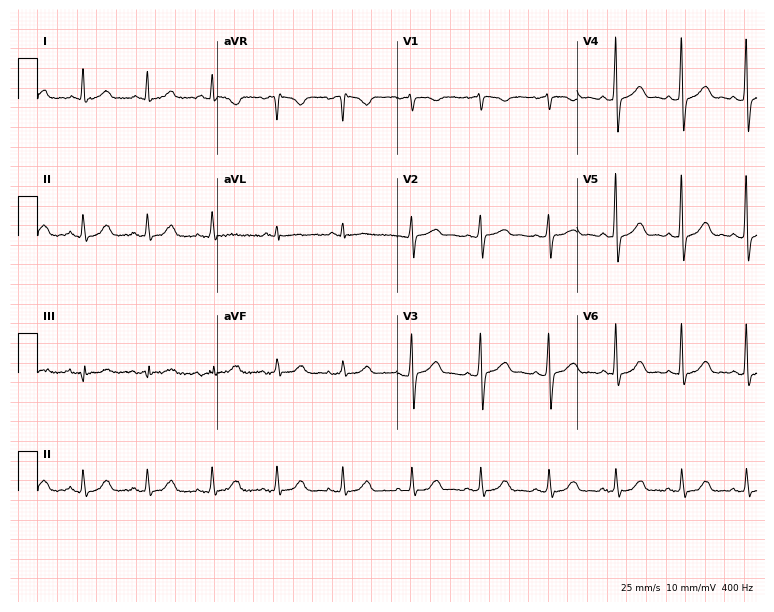
Resting 12-lead electrocardiogram. Patient: a female, 39 years old. Read as a normal ECG.